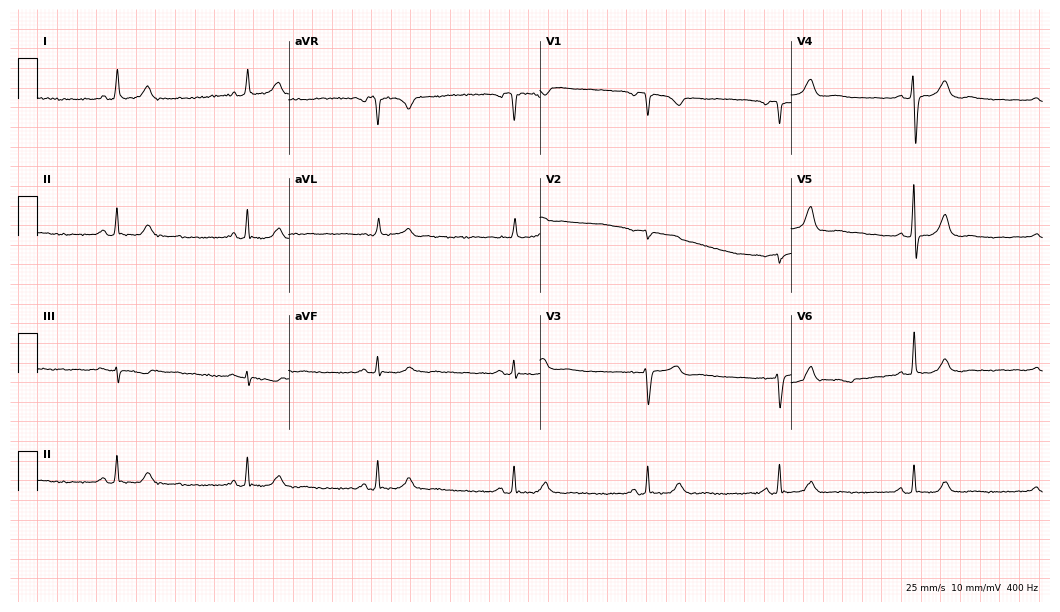
Electrocardiogram (10.2-second recording at 400 Hz), a woman, 70 years old. Interpretation includes sinus bradycardia (a sinus rate of 50 beats per minute or less).